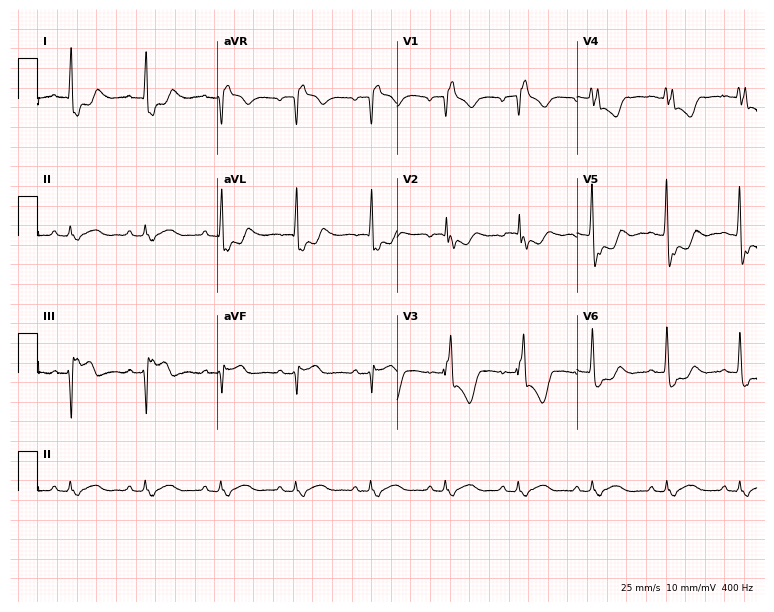
Resting 12-lead electrocardiogram. Patient: a 79-year-old man. None of these six findings is recorded: first-degree AV block, right bundle branch block, left bundle branch block, sinus bradycardia, atrial fibrillation, sinus tachycardia. Other findings, if any, are not listed.